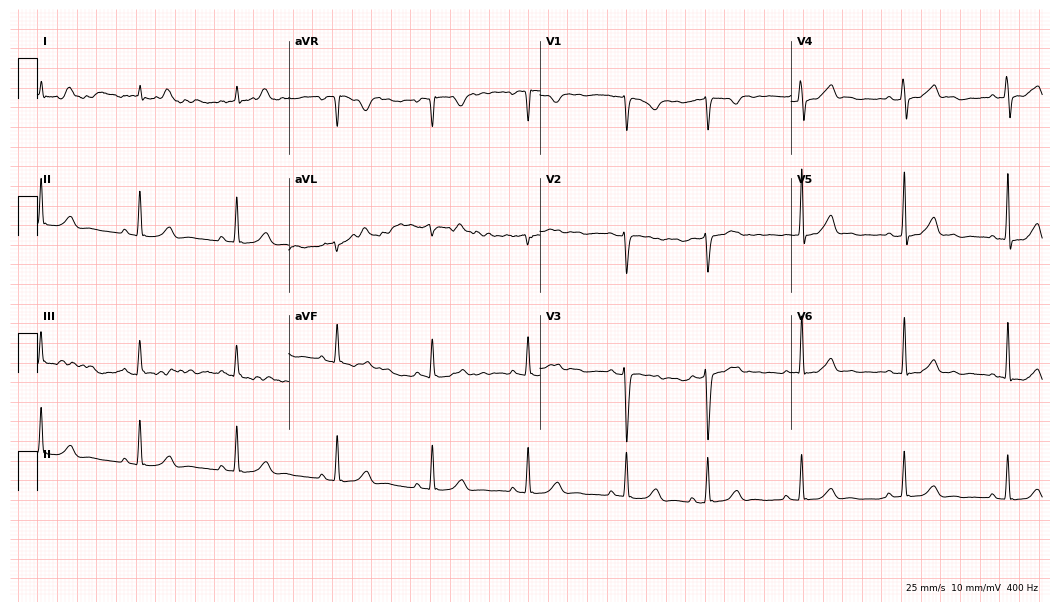
Standard 12-lead ECG recorded from a female, 24 years old (10.2-second recording at 400 Hz). None of these six findings is recorded: first-degree AV block, right bundle branch block (RBBB), left bundle branch block (LBBB), sinus bradycardia, atrial fibrillation (AF), sinus tachycardia. Only these six findings were labelled.